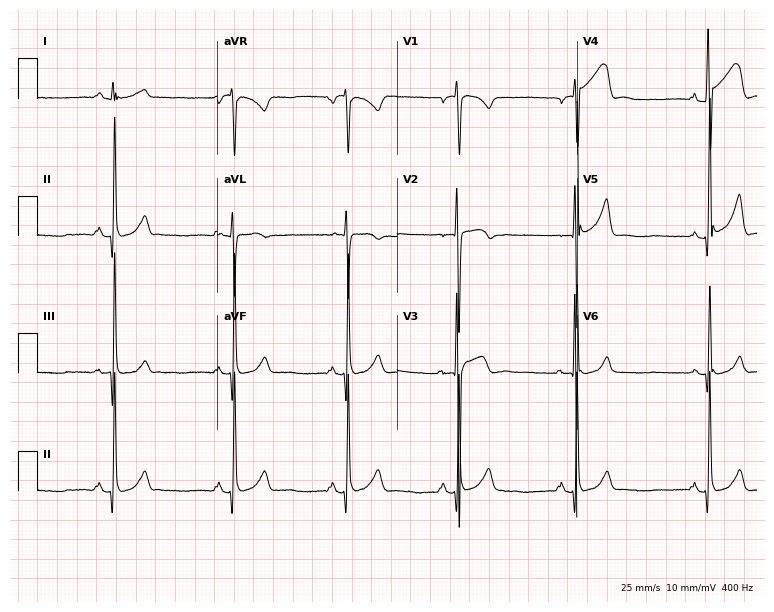
12-lead ECG from a male patient, 33 years old (7.3-second recording at 400 Hz). No first-degree AV block, right bundle branch block (RBBB), left bundle branch block (LBBB), sinus bradycardia, atrial fibrillation (AF) or sinus tachycardia recorded for this tracing. Other findings, if any, are not listed.